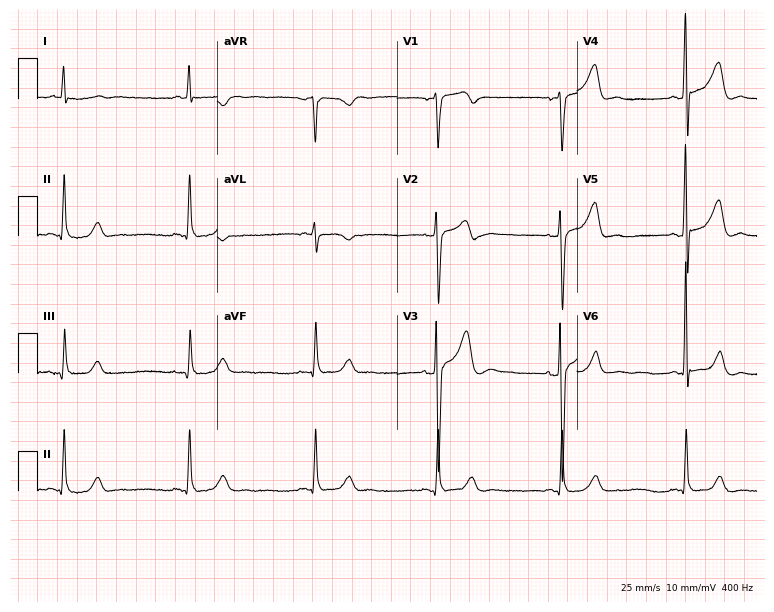
12-lead ECG from a male, 60 years old. Screened for six findings — first-degree AV block, right bundle branch block, left bundle branch block, sinus bradycardia, atrial fibrillation, sinus tachycardia — none is recorded. Other findings, if any, are not listed.